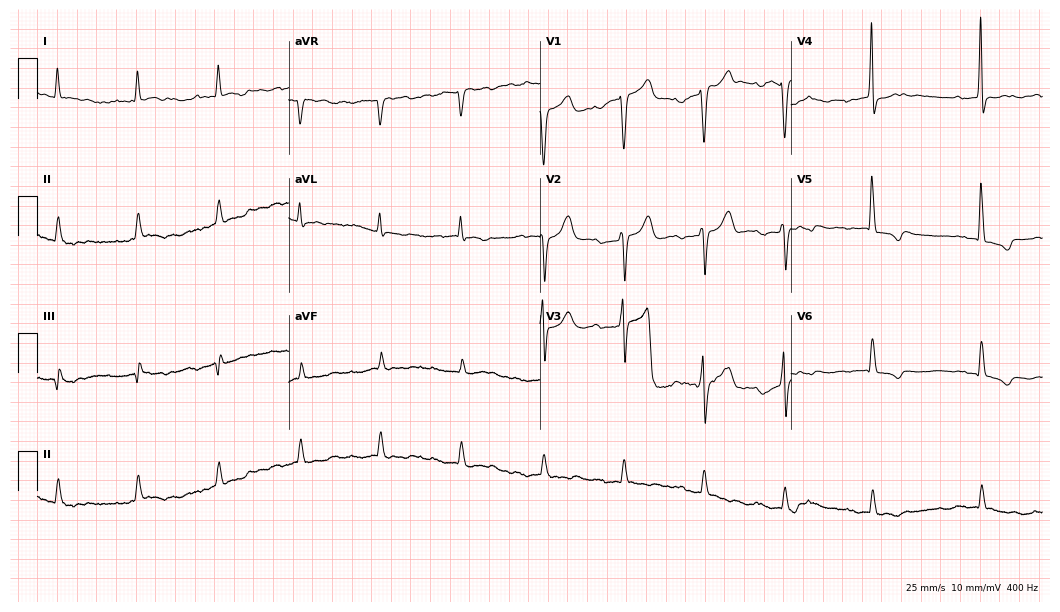
Electrocardiogram (10.2-second recording at 400 Hz), a 70-year-old male. Of the six screened findings (first-degree AV block, right bundle branch block (RBBB), left bundle branch block (LBBB), sinus bradycardia, atrial fibrillation (AF), sinus tachycardia), none is recorded. Findings outside these six are not listed.